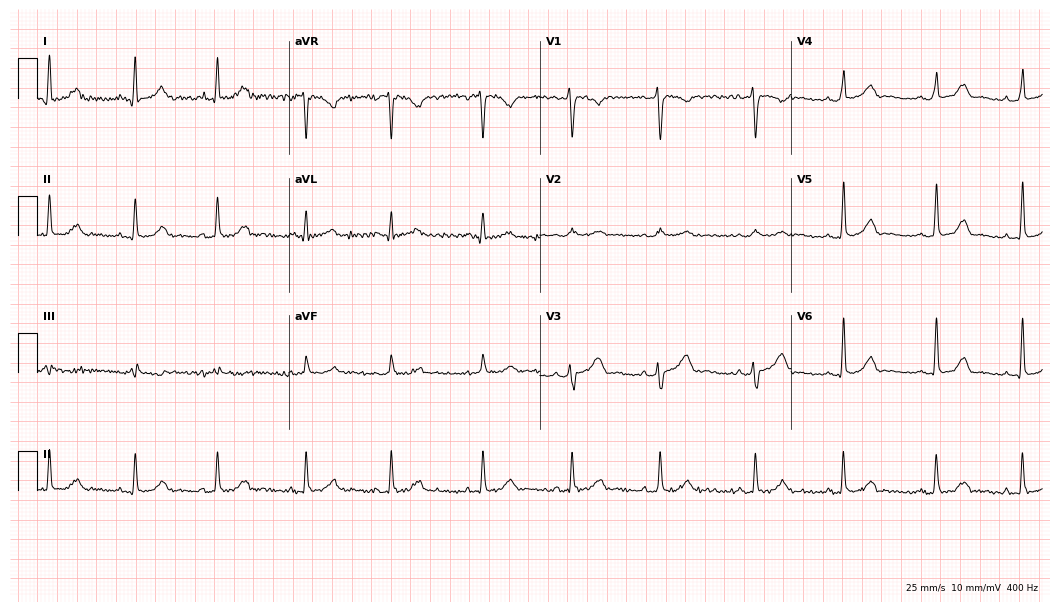
12-lead ECG from a 31-year-old woman. Labelled as a normal ECG.